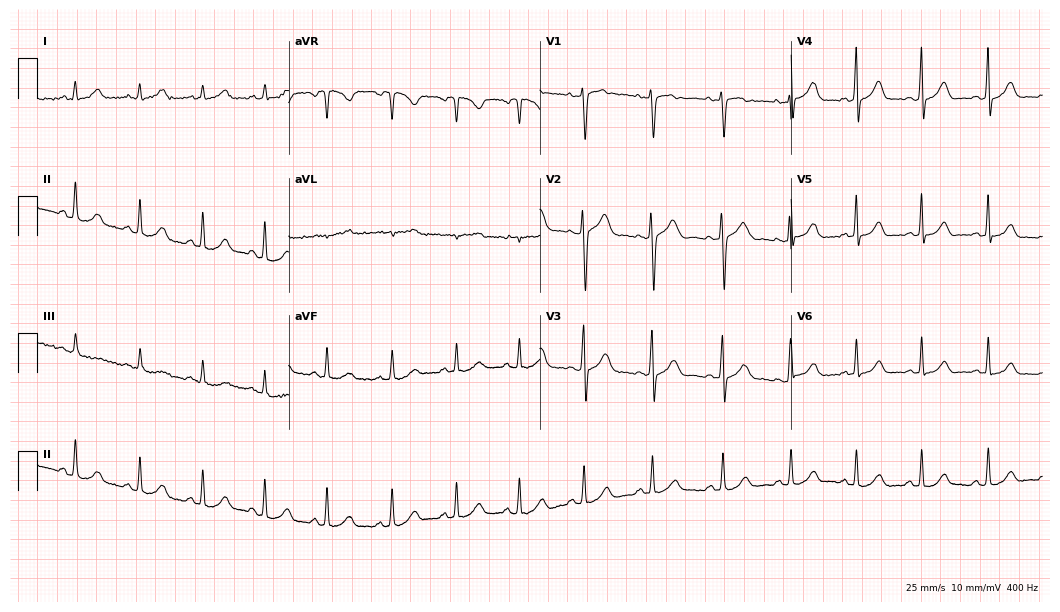
12-lead ECG from a woman, 29 years old (10.2-second recording at 400 Hz). Recorded interpretation: within normal limits.